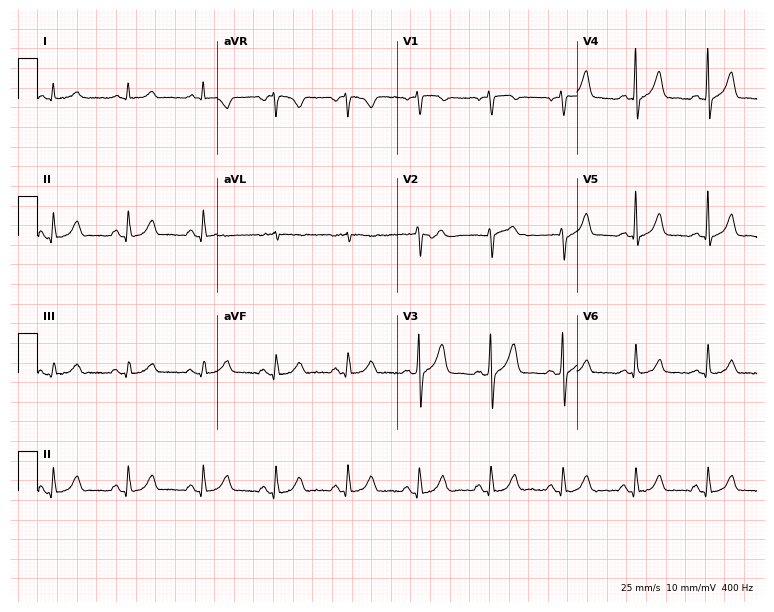
12-lead ECG (7.3-second recording at 400 Hz) from a man, 48 years old. Labelled as a normal ECG.